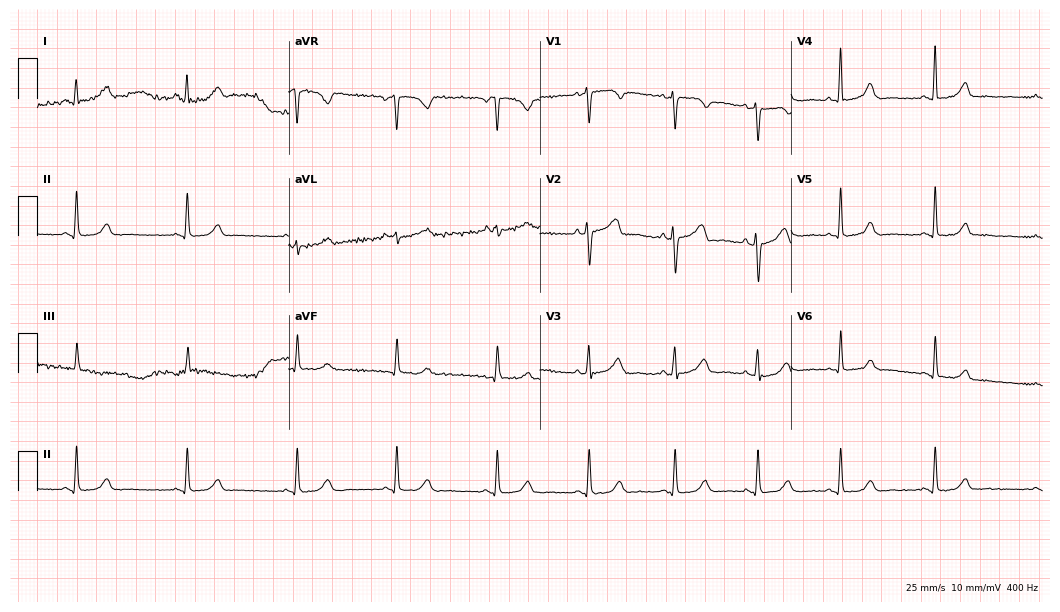
Electrocardiogram (10.2-second recording at 400 Hz), a woman, 45 years old. Overall reading on record: normal ECG.